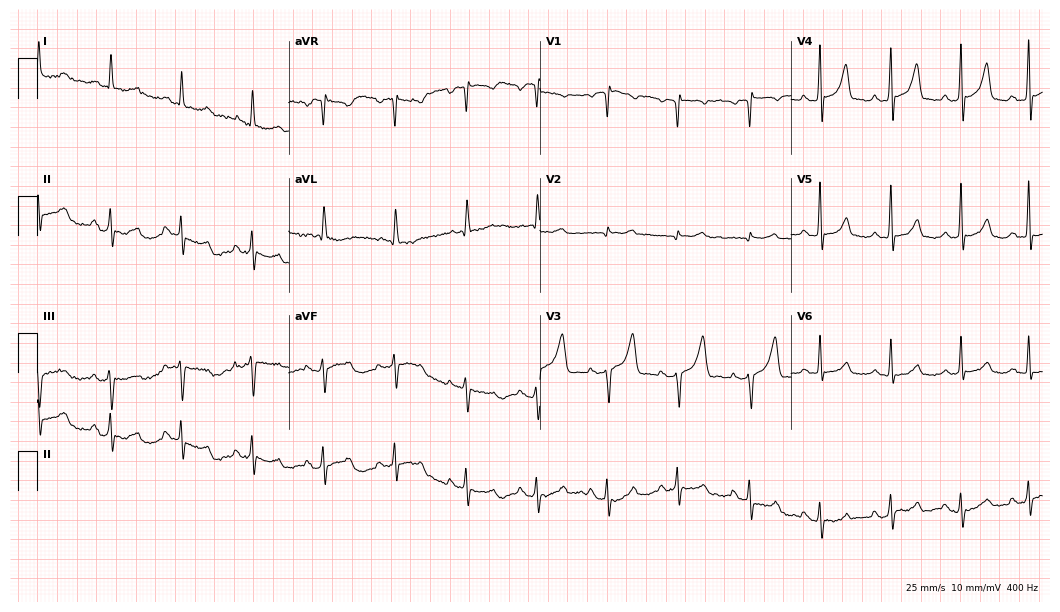
12-lead ECG (10.2-second recording at 400 Hz) from a 55-year-old female patient. Screened for six findings — first-degree AV block, right bundle branch block, left bundle branch block, sinus bradycardia, atrial fibrillation, sinus tachycardia — none is recorded.